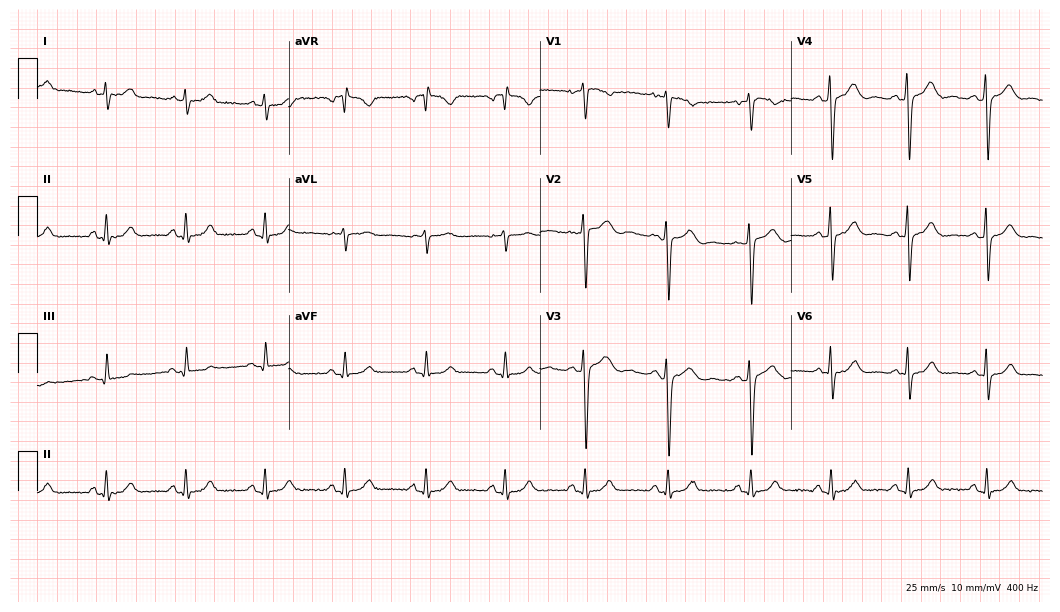
ECG (10.2-second recording at 400 Hz) — a female, 34 years old. Screened for six findings — first-degree AV block, right bundle branch block, left bundle branch block, sinus bradycardia, atrial fibrillation, sinus tachycardia — none is recorded.